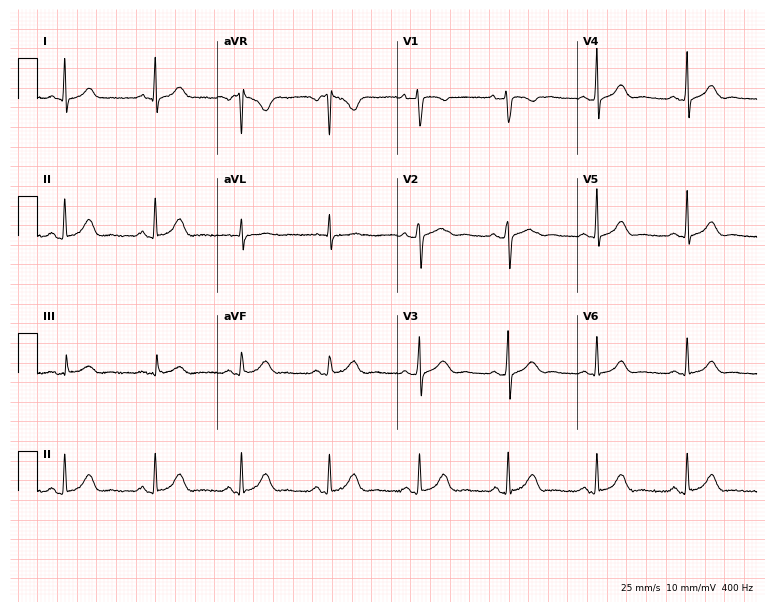
12-lead ECG from a female, 32 years old. Recorded interpretation: within normal limits.